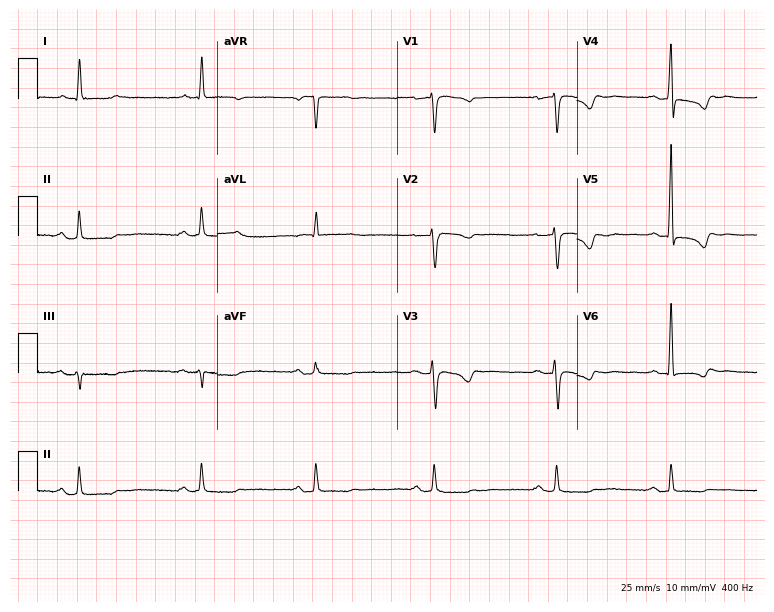
Electrocardiogram, a 66-year-old woman. Of the six screened findings (first-degree AV block, right bundle branch block (RBBB), left bundle branch block (LBBB), sinus bradycardia, atrial fibrillation (AF), sinus tachycardia), none is recorded. Other findings, if any, are not listed.